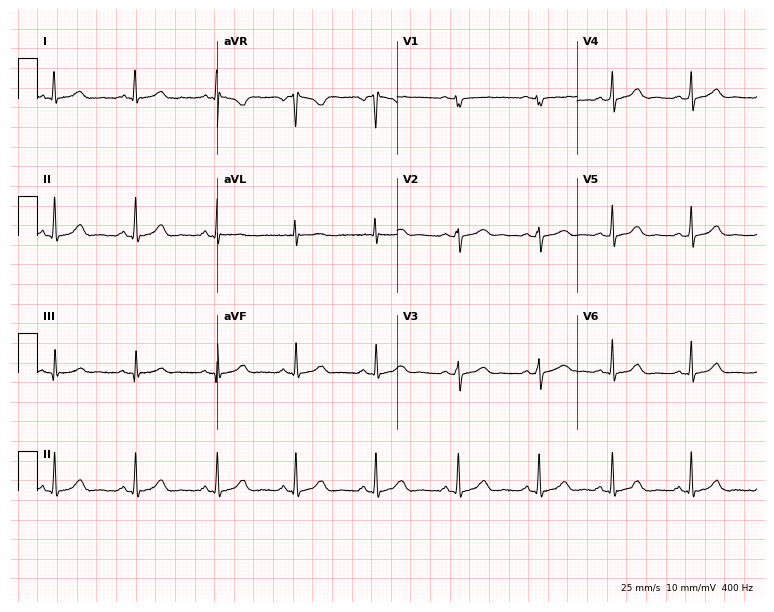
Electrocardiogram, a female patient, 21 years old. Overall reading on record: normal ECG.